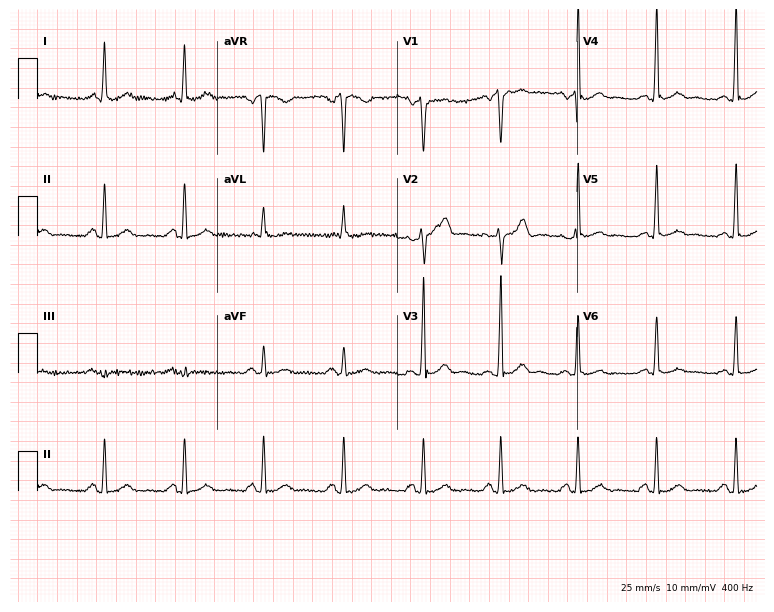
Resting 12-lead electrocardiogram. Patient: a 39-year-old male. Read as a normal ECG.